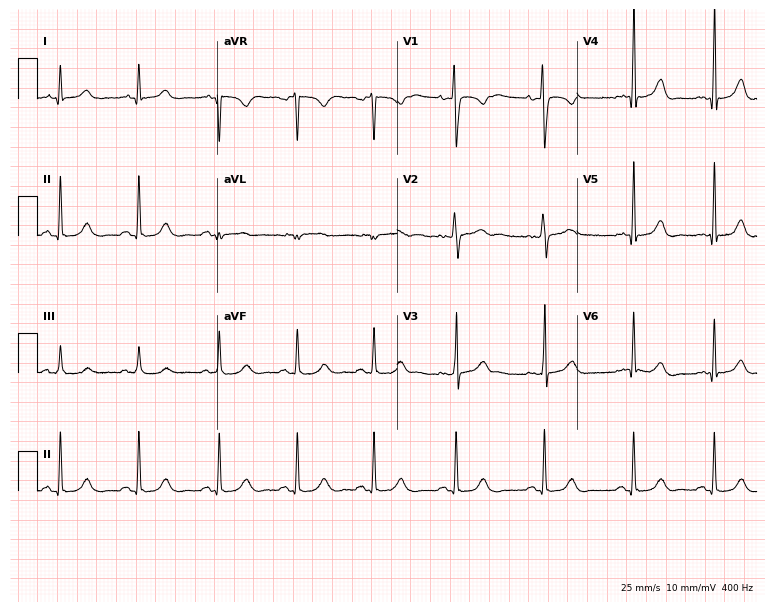
12-lead ECG from a 29-year-old female patient. Labelled as a normal ECG.